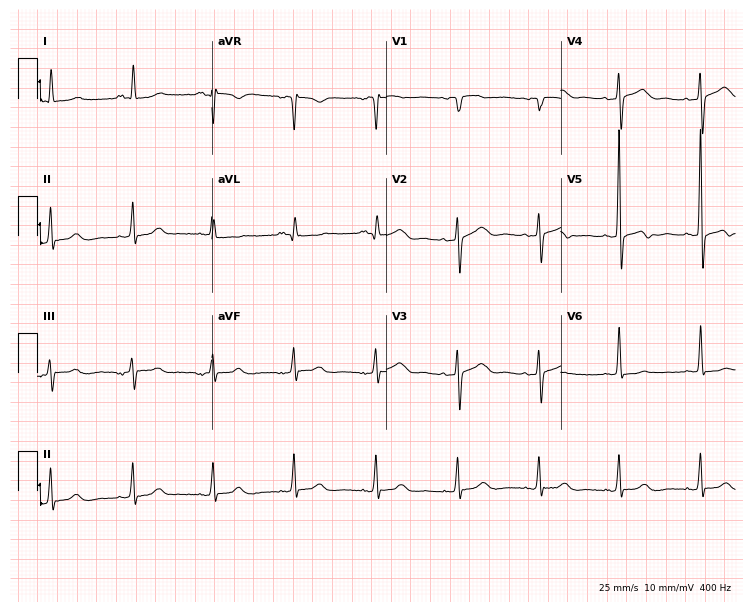
12-lead ECG (7.1-second recording at 400 Hz) from a 77-year-old female. Screened for six findings — first-degree AV block, right bundle branch block, left bundle branch block, sinus bradycardia, atrial fibrillation, sinus tachycardia — none is recorded.